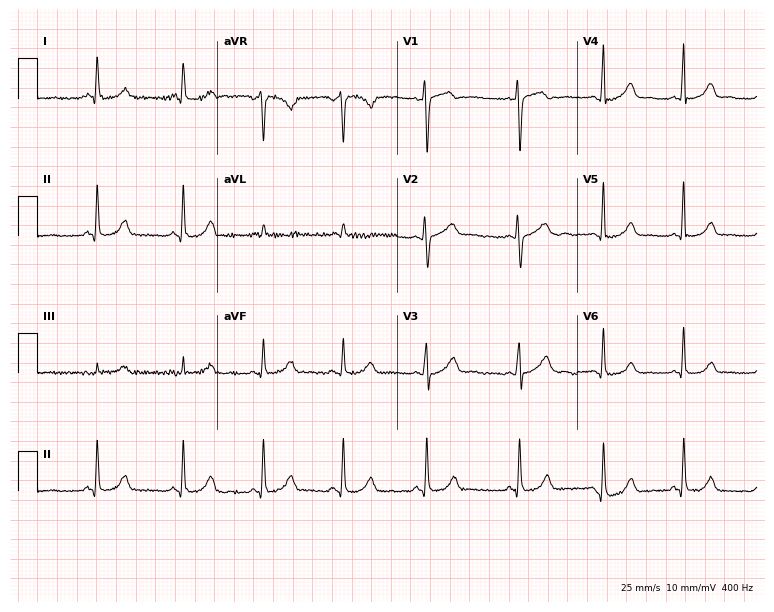
12-lead ECG (7.3-second recording at 400 Hz) from a male, 23 years old. Screened for six findings — first-degree AV block, right bundle branch block, left bundle branch block, sinus bradycardia, atrial fibrillation, sinus tachycardia — none is recorded. Only these six findings were labelled.